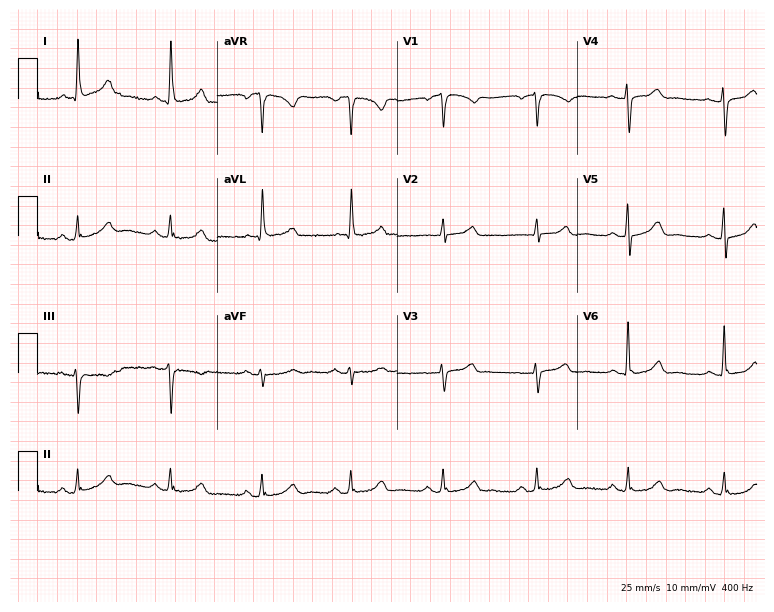
Standard 12-lead ECG recorded from a female, 59 years old. Read as a normal ECG.